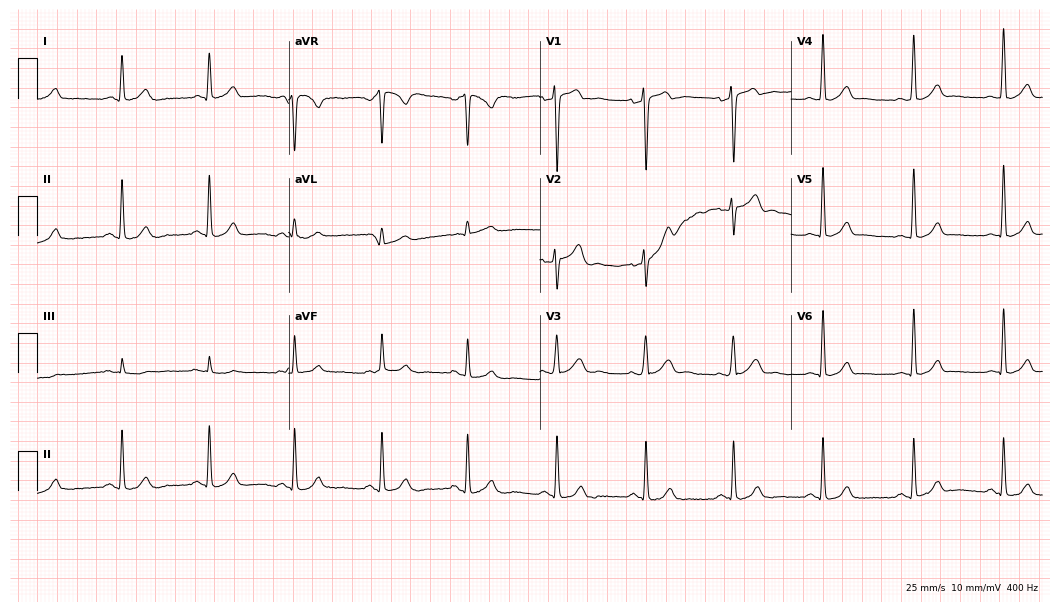
Resting 12-lead electrocardiogram. Patient: a 25-year-old man. None of these six findings is recorded: first-degree AV block, right bundle branch block, left bundle branch block, sinus bradycardia, atrial fibrillation, sinus tachycardia. Other findings, if any, are not listed.